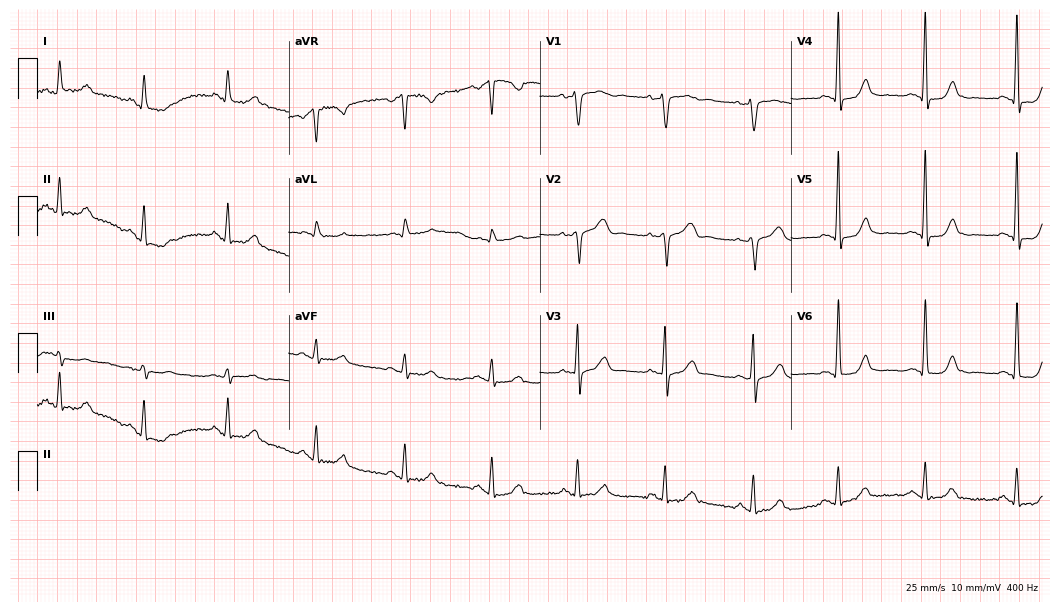
Standard 12-lead ECG recorded from a 59-year-old female. None of these six findings is recorded: first-degree AV block, right bundle branch block, left bundle branch block, sinus bradycardia, atrial fibrillation, sinus tachycardia. Only these six findings were labelled.